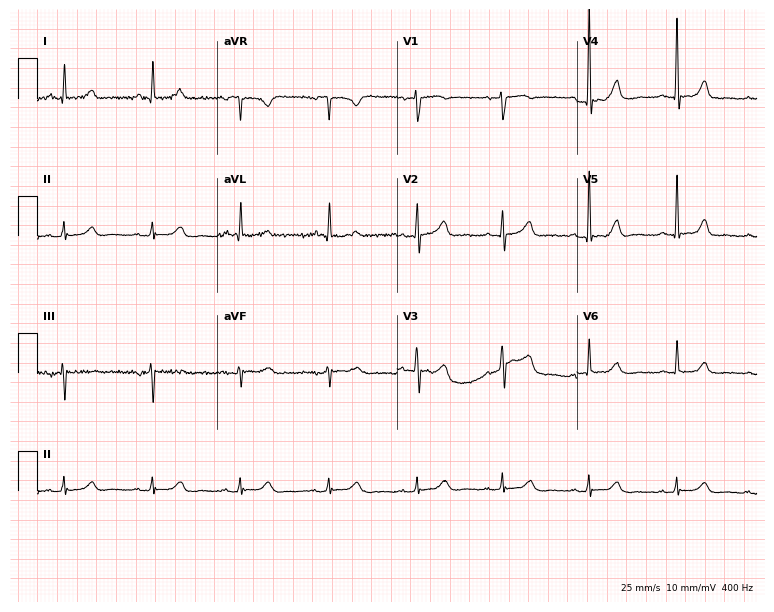
12-lead ECG (7.3-second recording at 400 Hz) from a woman, 68 years old. Labelled as a normal ECG.